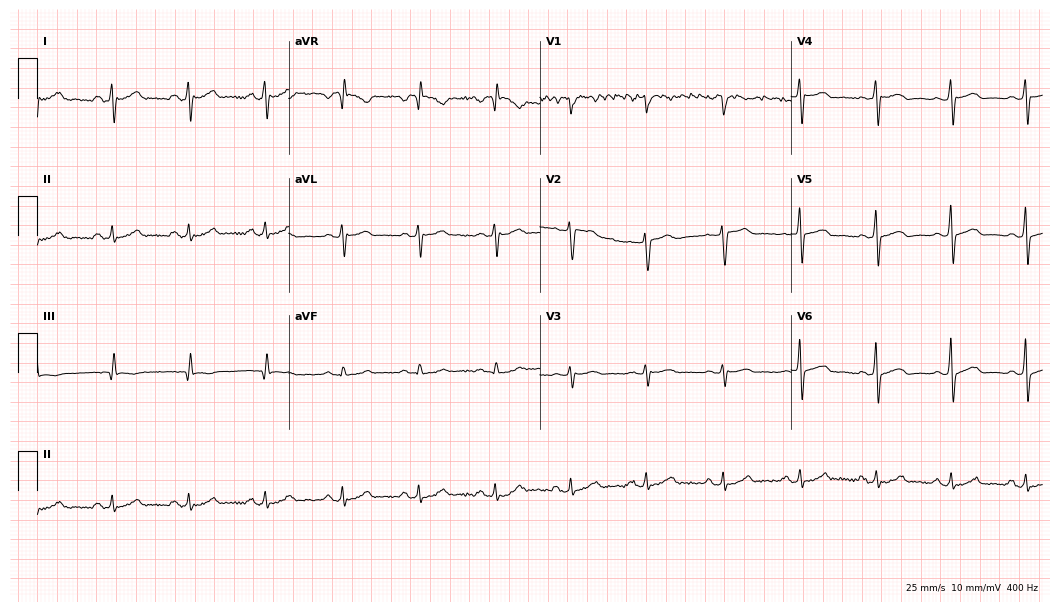
12-lead ECG from a 72-year-old man (10.2-second recording at 400 Hz). Recorded interpretation: within normal limits.